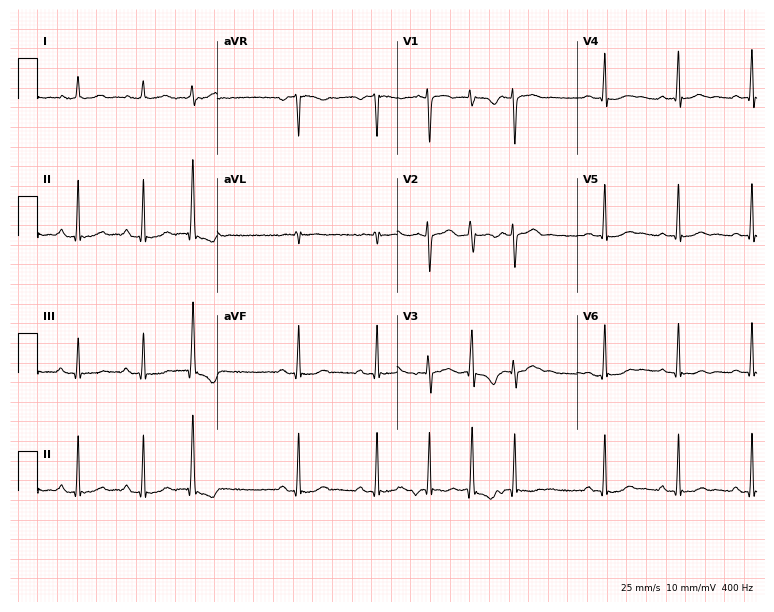
Resting 12-lead electrocardiogram (7.3-second recording at 400 Hz). Patient: a female, 35 years old. None of these six findings is recorded: first-degree AV block, right bundle branch block, left bundle branch block, sinus bradycardia, atrial fibrillation, sinus tachycardia. Findings outside these six are not listed.